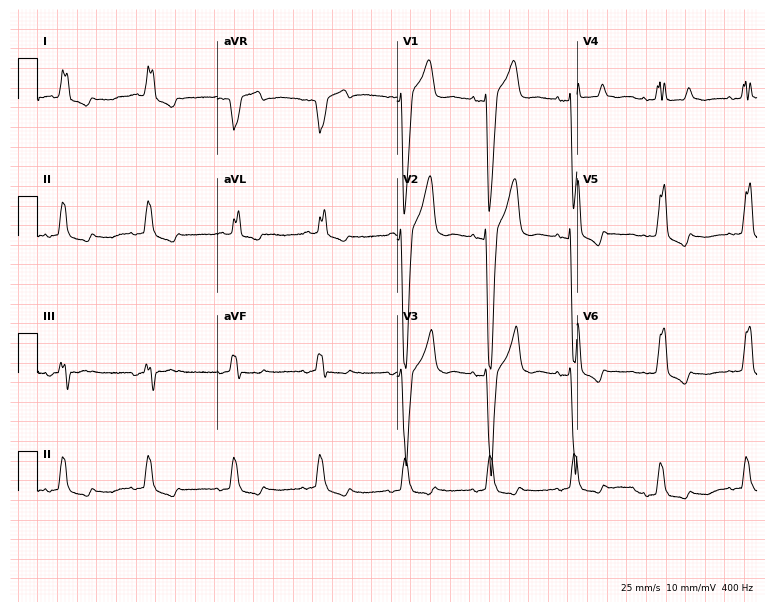
Standard 12-lead ECG recorded from a man, 70 years old. The tracing shows left bundle branch block.